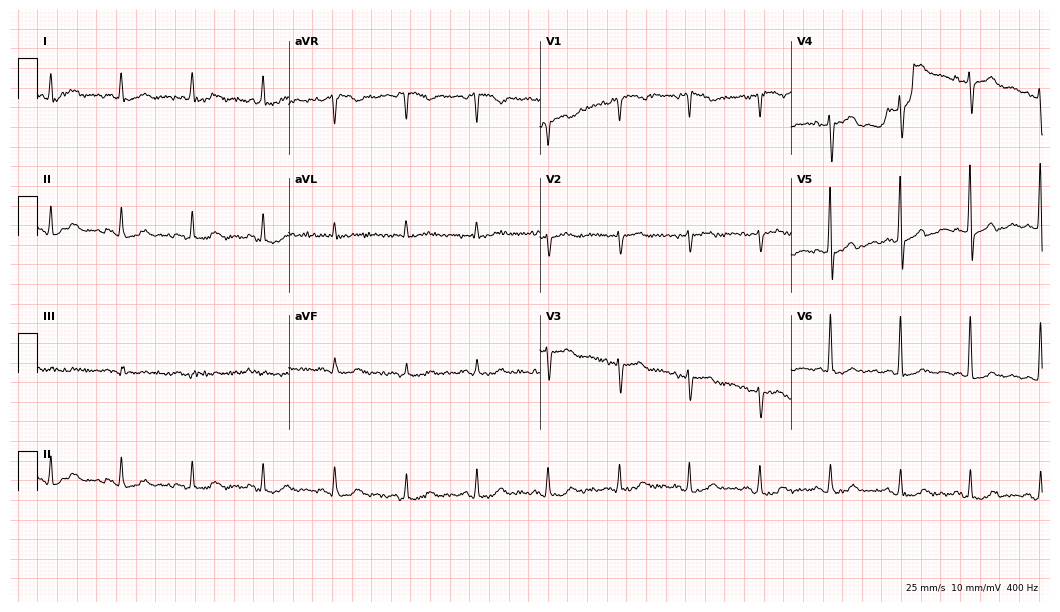
Resting 12-lead electrocardiogram. Patient: an 80-year-old female. None of these six findings is recorded: first-degree AV block, right bundle branch block (RBBB), left bundle branch block (LBBB), sinus bradycardia, atrial fibrillation (AF), sinus tachycardia. Other findings, if any, are not listed.